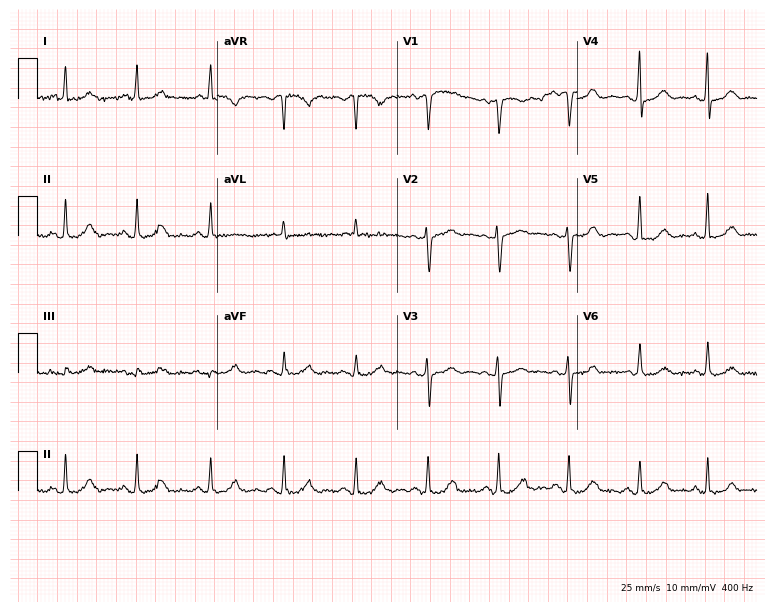
12-lead ECG from a man, 59 years old (7.3-second recording at 400 Hz). No first-degree AV block, right bundle branch block, left bundle branch block, sinus bradycardia, atrial fibrillation or sinus tachycardia recorded for this tracing. Other findings, if any, are not listed.